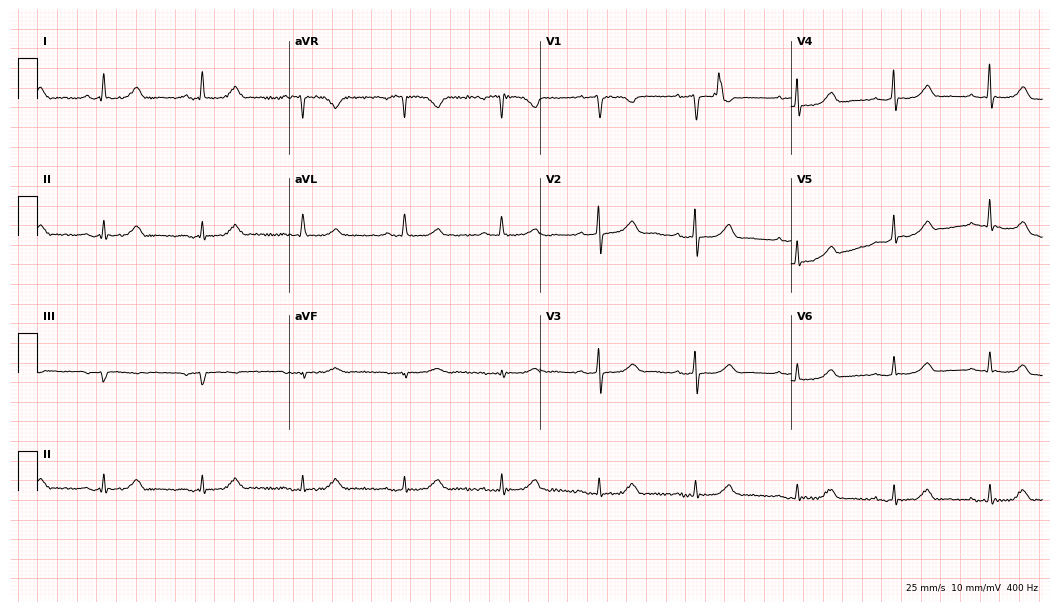
Standard 12-lead ECG recorded from a 69-year-old woman (10.2-second recording at 400 Hz). None of these six findings is recorded: first-degree AV block, right bundle branch block, left bundle branch block, sinus bradycardia, atrial fibrillation, sinus tachycardia. Other findings, if any, are not listed.